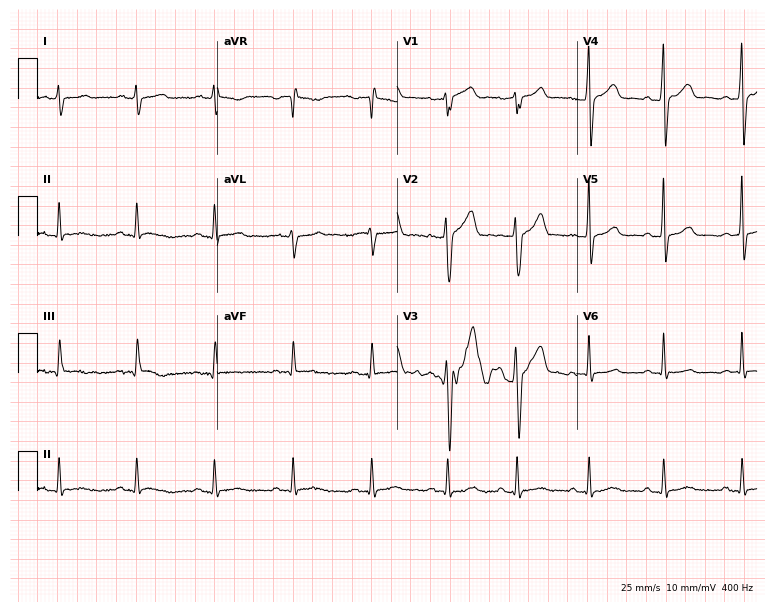
12-lead ECG from a male patient, 52 years old. Recorded interpretation: within normal limits.